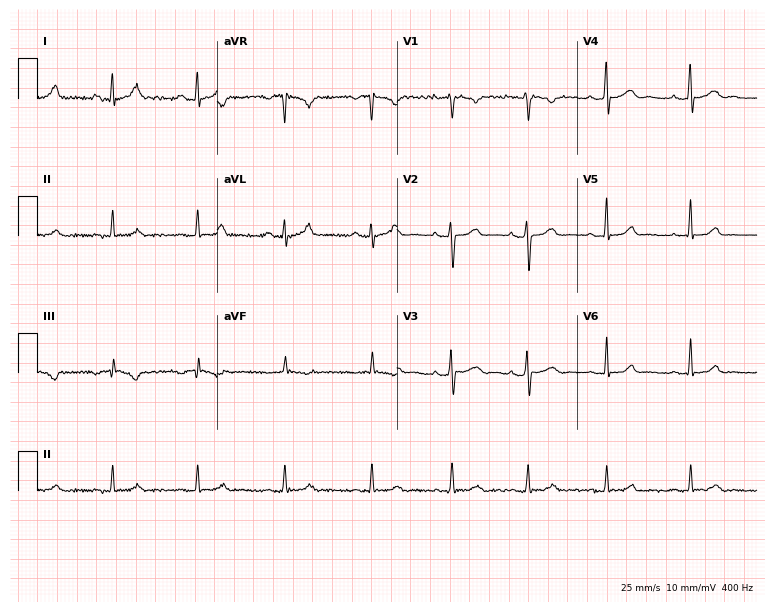
12-lead ECG from a 30-year-old woman. Recorded interpretation: within normal limits.